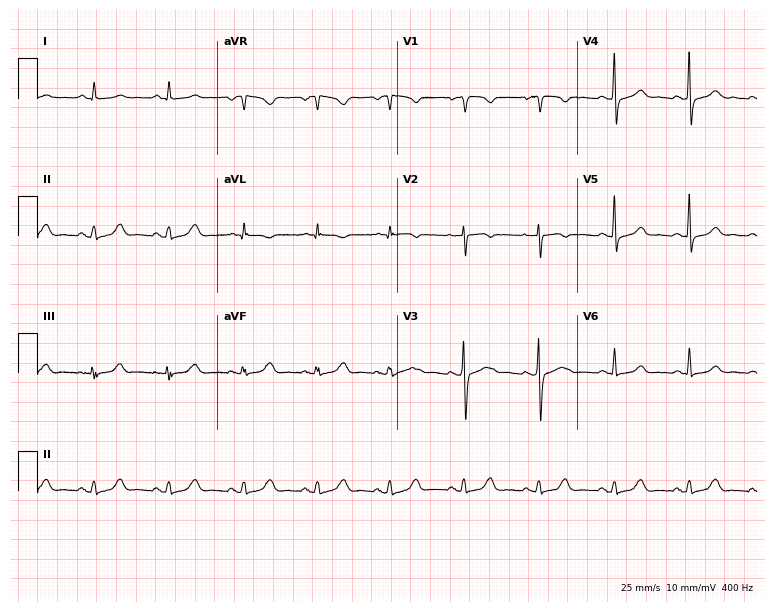
12-lead ECG from a woman, 55 years old. No first-degree AV block, right bundle branch block (RBBB), left bundle branch block (LBBB), sinus bradycardia, atrial fibrillation (AF) or sinus tachycardia recorded for this tracing. Only these six findings were labelled.